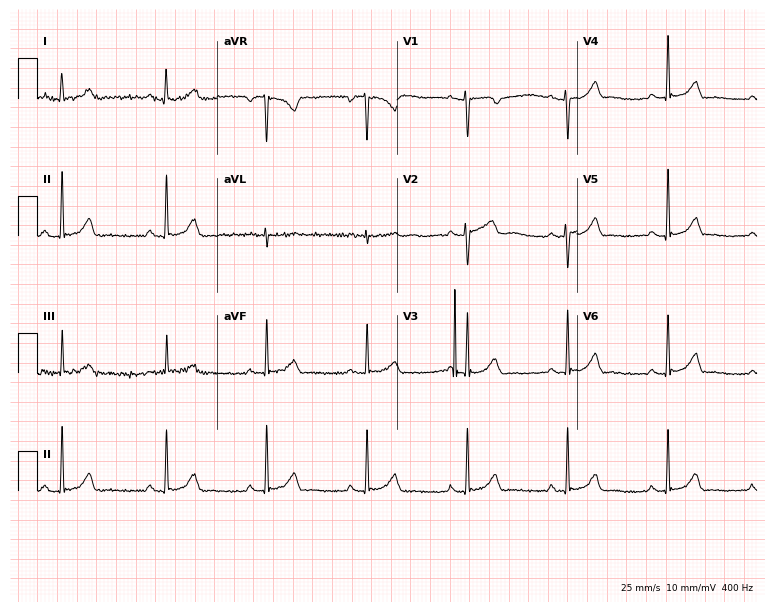
Standard 12-lead ECG recorded from a female patient, 22 years old. None of these six findings is recorded: first-degree AV block, right bundle branch block, left bundle branch block, sinus bradycardia, atrial fibrillation, sinus tachycardia. Only these six findings were labelled.